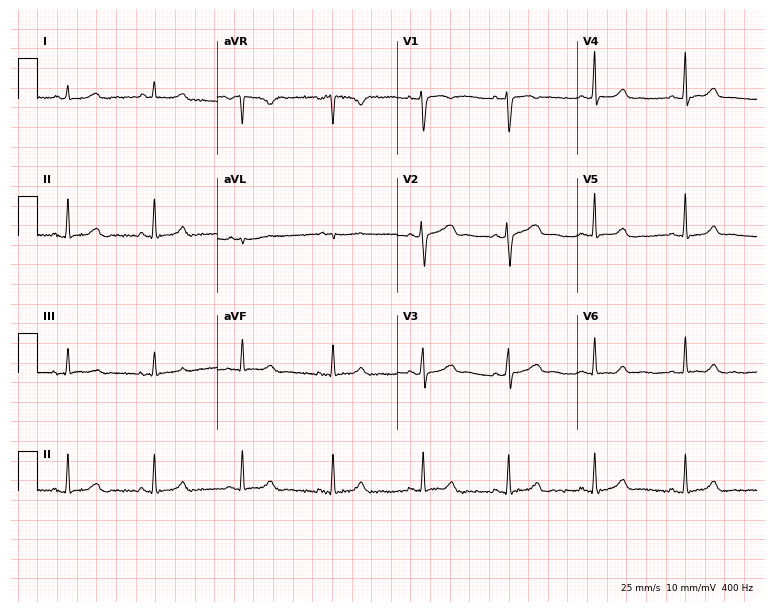
12-lead ECG (7.3-second recording at 400 Hz) from a 42-year-old woman. Labelled as a normal ECG.